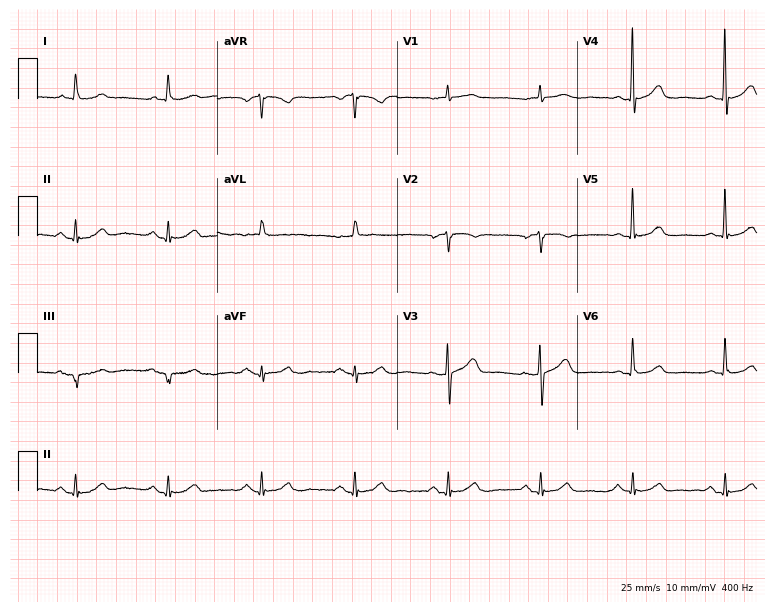
12-lead ECG from a female patient, 83 years old. Screened for six findings — first-degree AV block, right bundle branch block, left bundle branch block, sinus bradycardia, atrial fibrillation, sinus tachycardia — none is recorded. Findings outside these six are not listed.